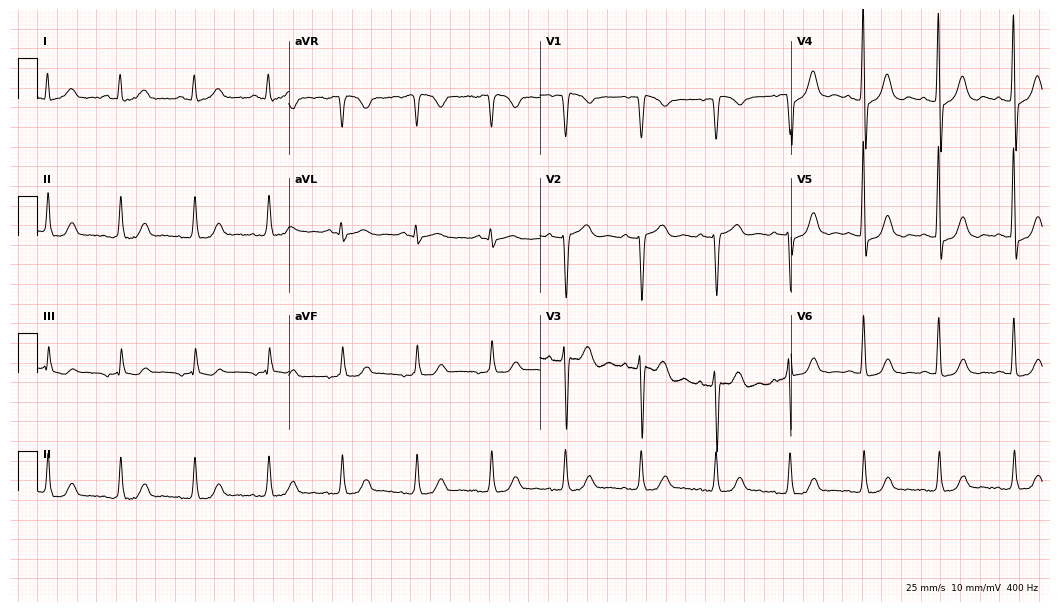
12-lead ECG (10.2-second recording at 400 Hz) from a woman, 65 years old. Screened for six findings — first-degree AV block, right bundle branch block, left bundle branch block, sinus bradycardia, atrial fibrillation, sinus tachycardia — none is recorded. Other findings, if any, are not listed.